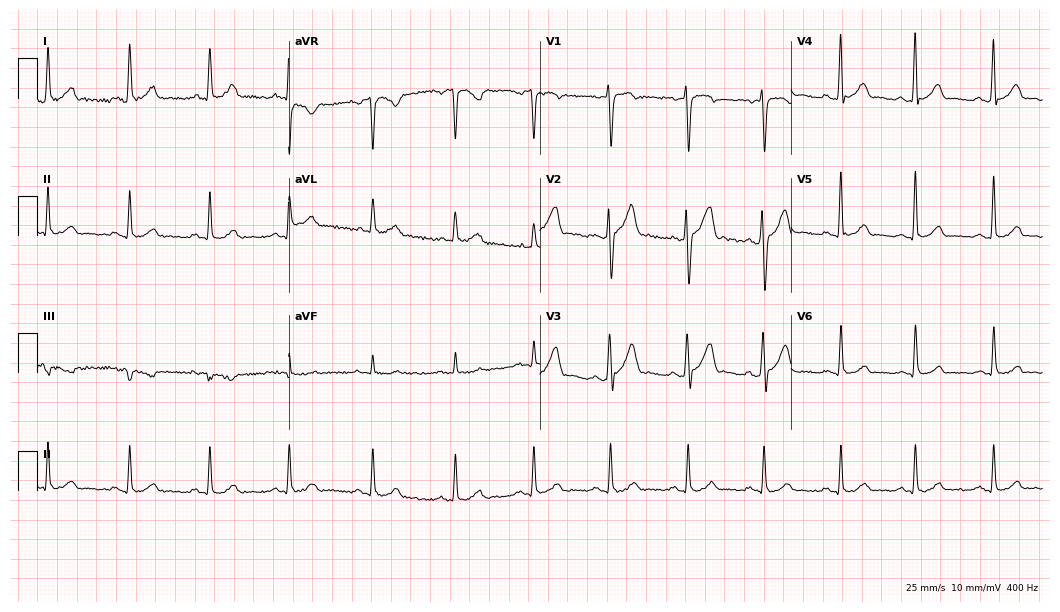
Standard 12-lead ECG recorded from a 38-year-old male patient. None of these six findings is recorded: first-degree AV block, right bundle branch block, left bundle branch block, sinus bradycardia, atrial fibrillation, sinus tachycardia.